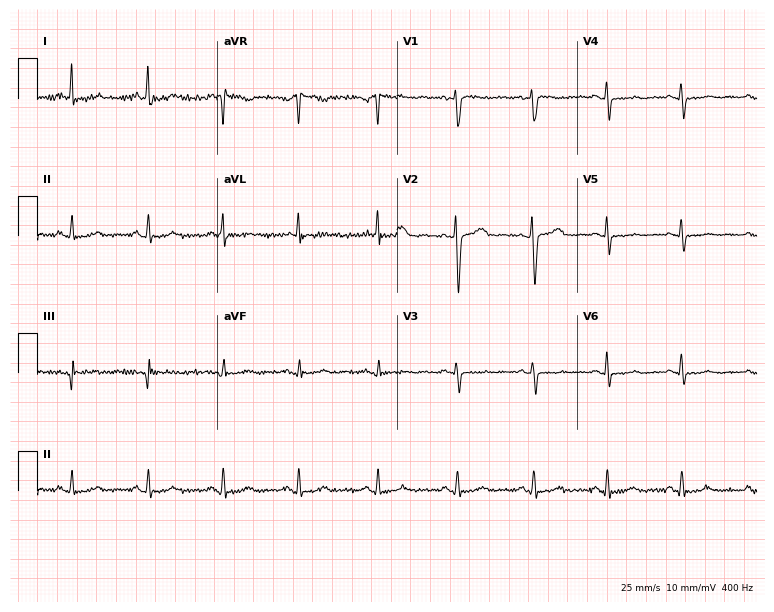
ECG — a female patient, 40 years old. Screened for six findings — first-degree AV block, right bundle branch block (RBBB), left bundle branch block (LBBB), sinus bradycardia, atrial fibrillation (AF), sinus tachycardia — none is recorded. Only these six findings were labelled.